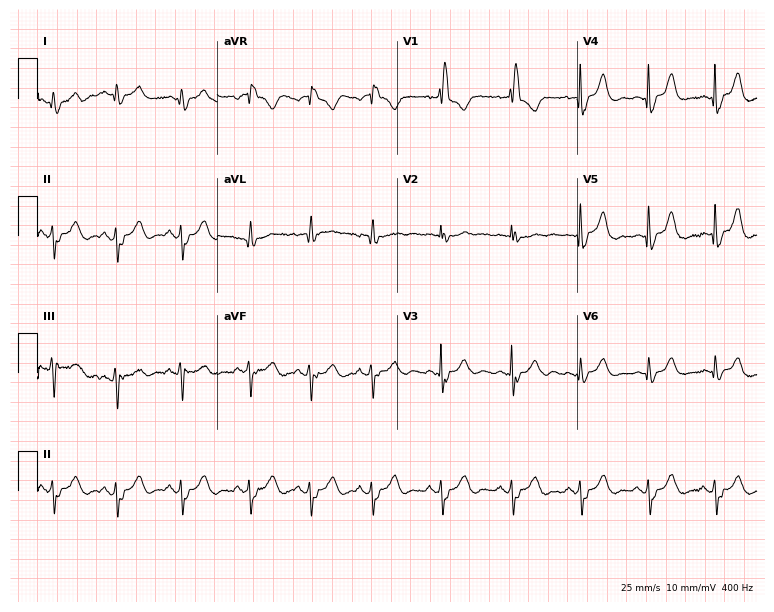
ECG — a female patient, 76 years old. Findings include right bundle branch block.